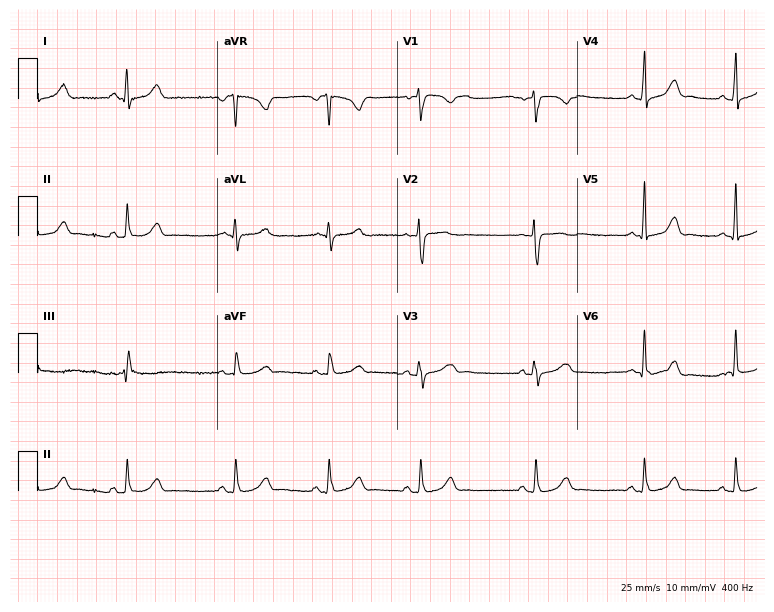
12-lead ECG from a female patient, 28 years old. Recorded interpretation: within normal limits.